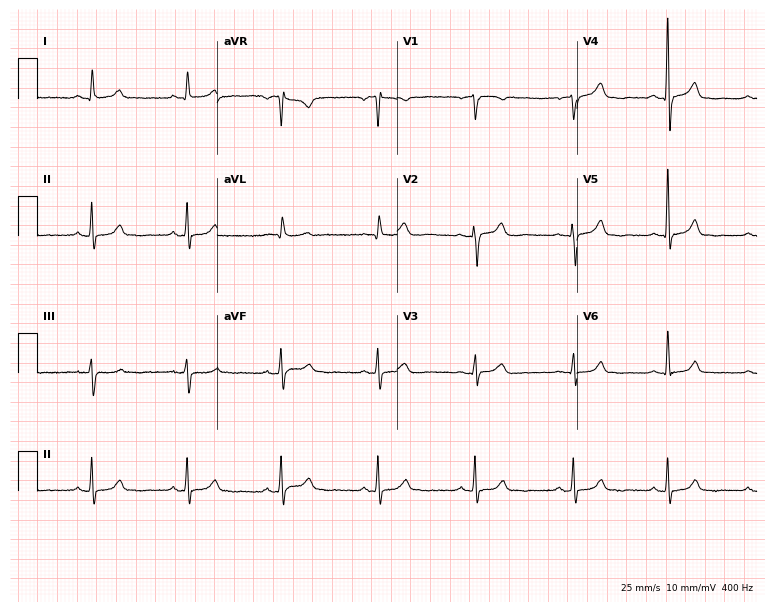
12-lead ECG (7.3-second recording at 400 Hz) from a 66-year-old female. Labelled as a normal ECG.